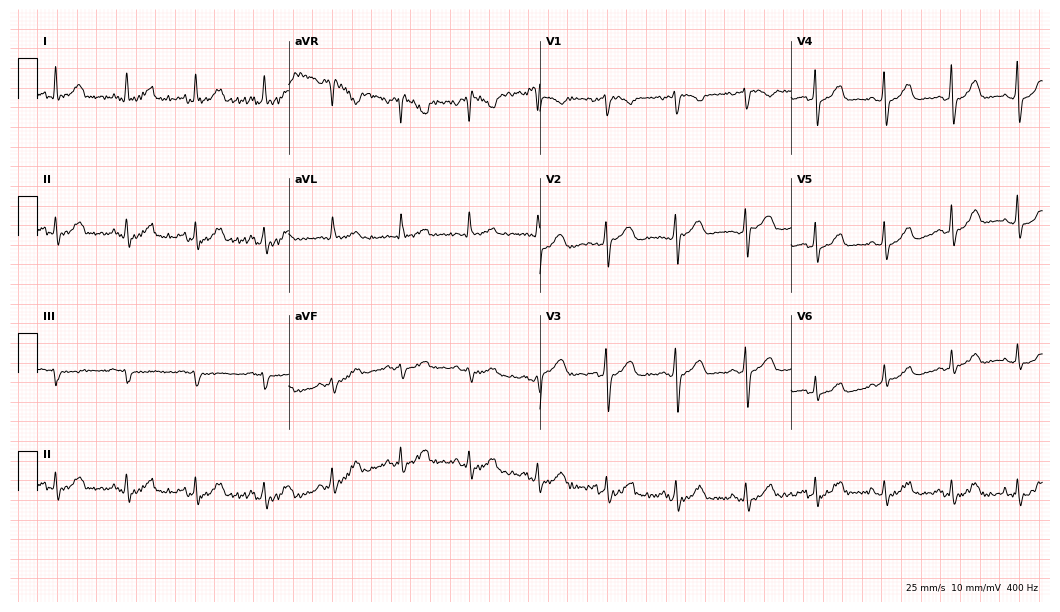
Resting 12-lead electrocardiogram. Patient: a female, 47 years old. None of these six findings is recorded: first-degree AV block, right bundle branch block, left bundle branch block, sinus bradycardia, atrial fibrillation, sinus tachycardia.